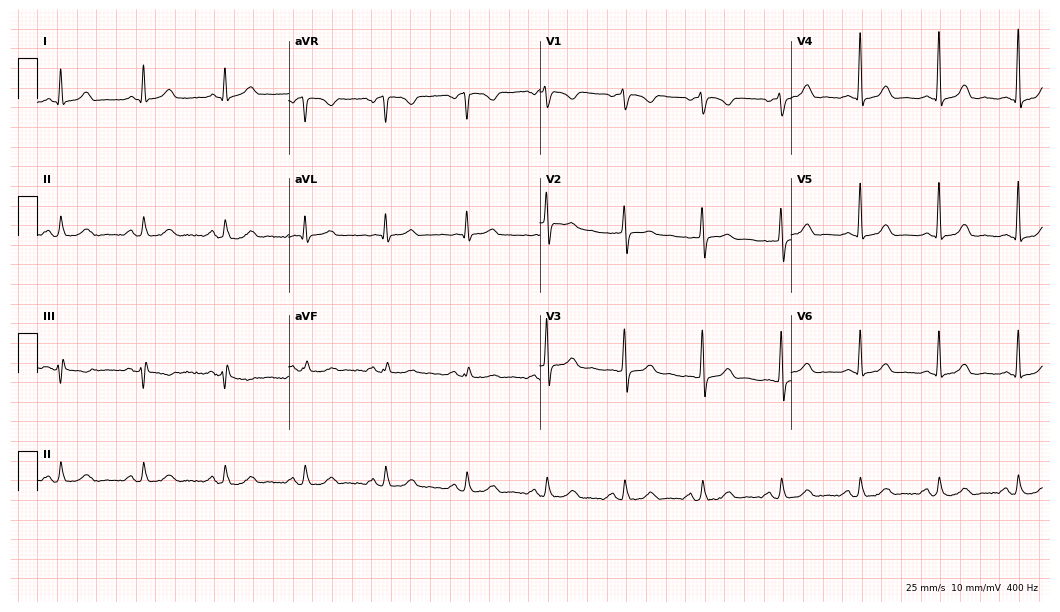
Electrocardiogram (10.2-second recording at 400 Hz), a 71-year-old female. Overall reading on record: normal ECG.